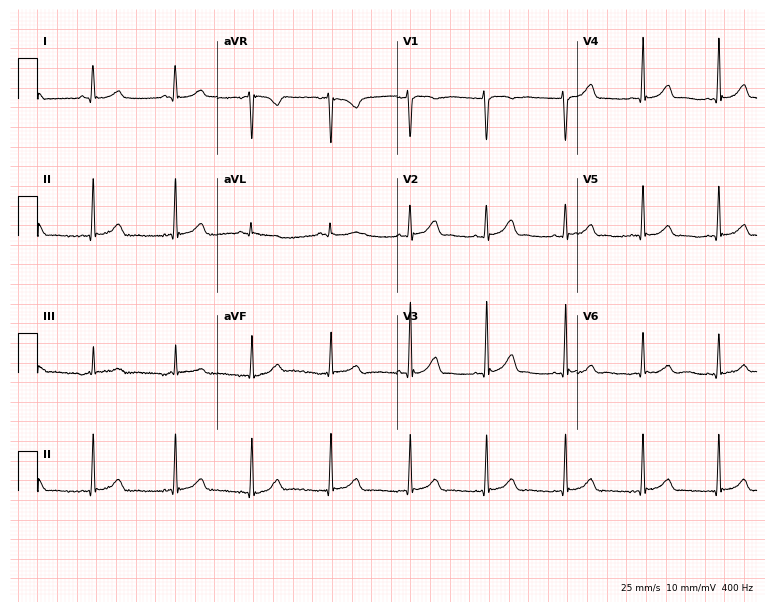
Standard 12-lead ECG recorded from a 20-year-old female (7.3-second recording at 400 Hz). Read as a normal ECG.